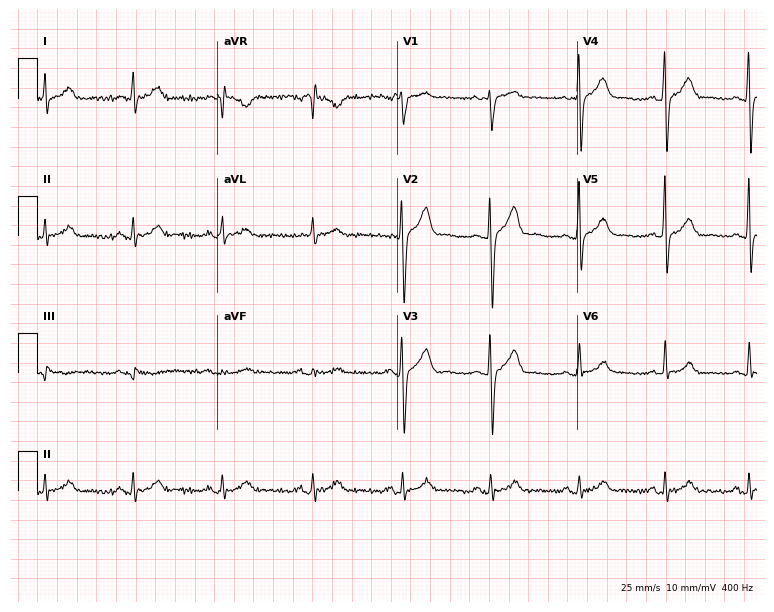
12-lead ECG from a 43-year-old man (7.3-second recording at 400 Hz). Recorded interpretation: within normal limits.